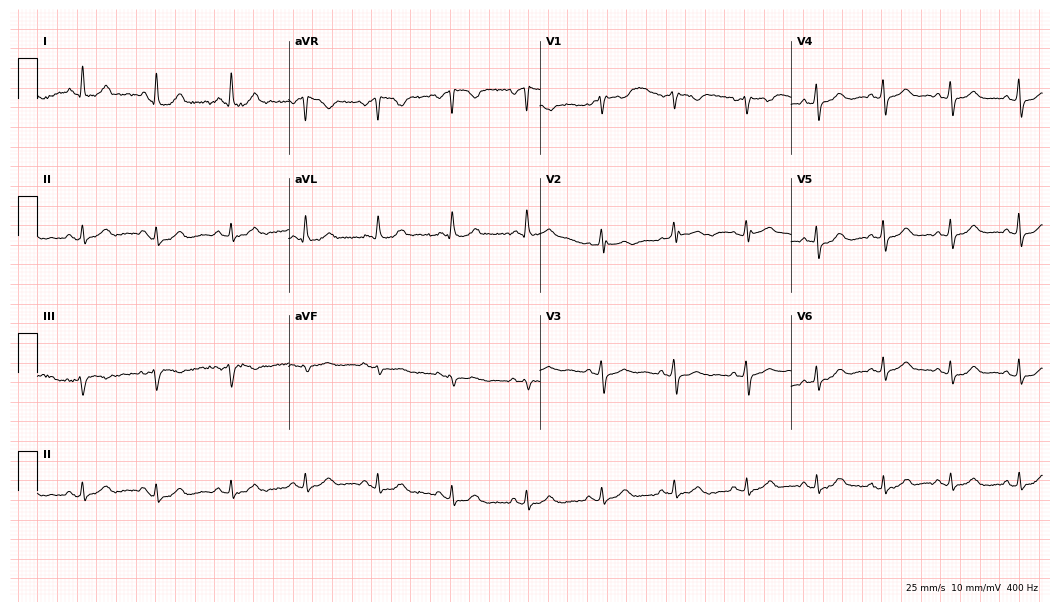
12-lead ECG from a 64-year-old woman. Labelled as a normal ECG.